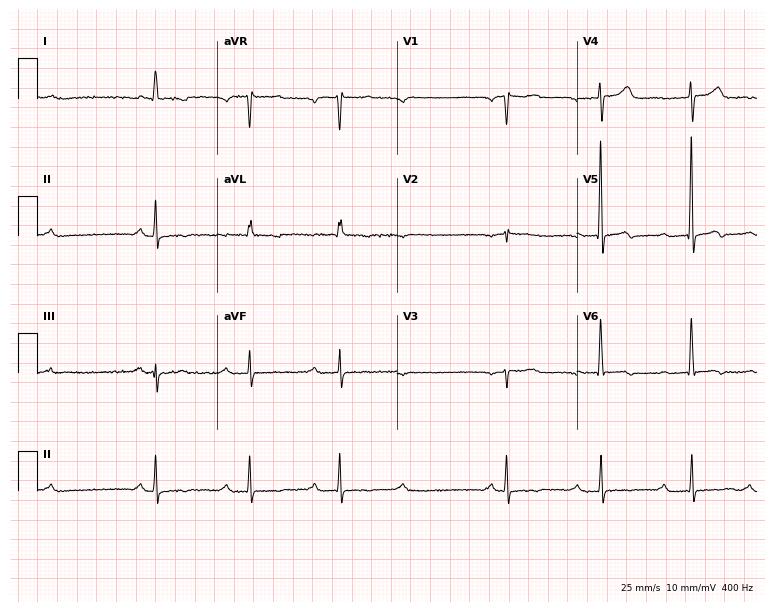
12-lead ECG from a male, 67 years old. Shows first-degree AV block.